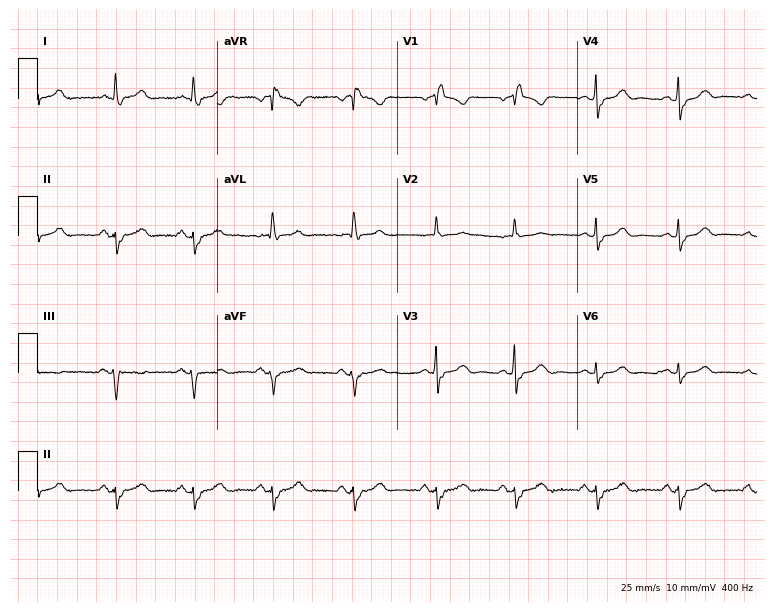
ECG (7.3-second recording at 400 Hz) — a 73-year-old female patient. Findings include right bundle branch block.